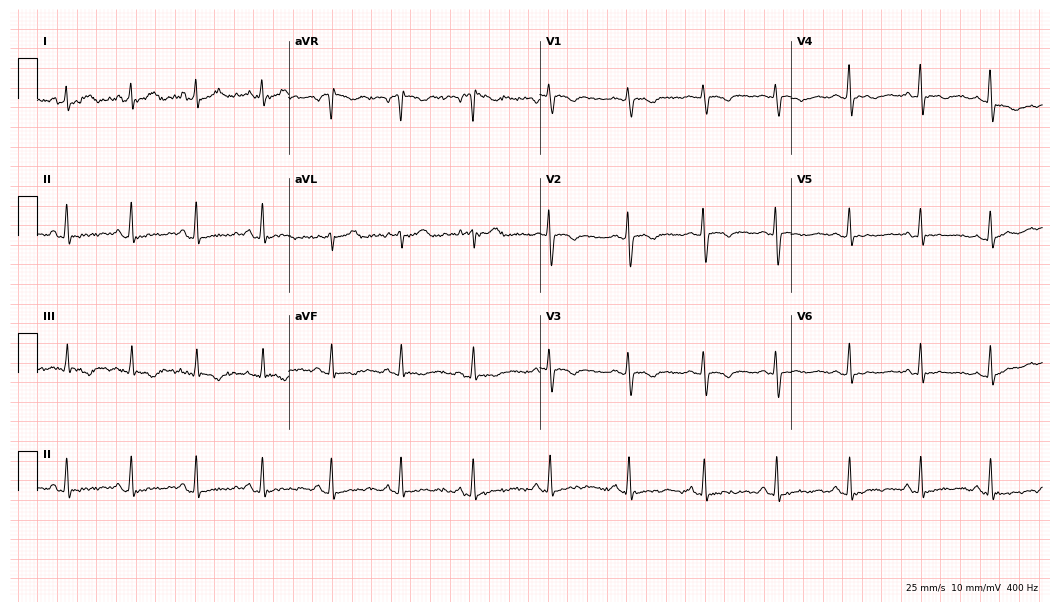
Electrocardiogram, a female patient, 21 years old. Of the six screened findings (first-degree AV block, right bundle branch block, left bundle branch block, sinus bradycardia, atrial fibrillation, sinus tachycardia), none is recorded.